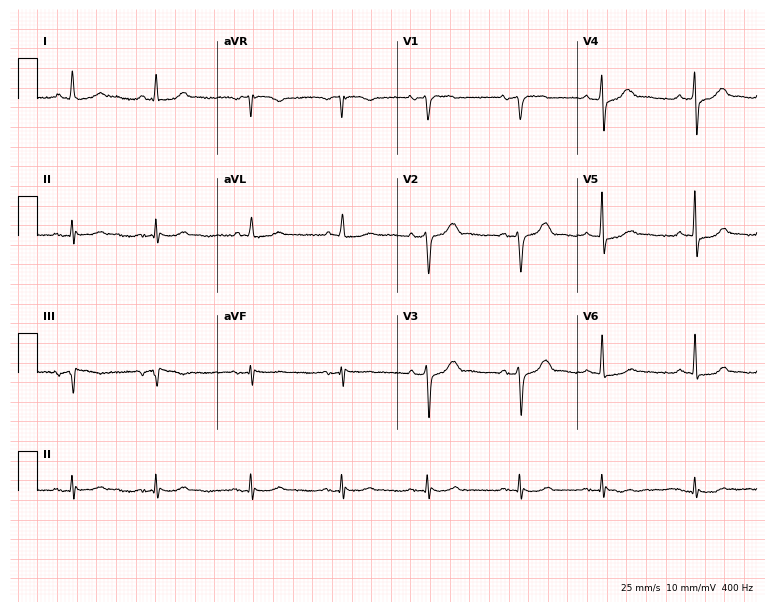
Standard 12-lead ECG recorded from an 80-year-old female patient (7.3-second recording at 400 Hz). None of these six findings is recorded: first-degree AV block, right bundle branch block (RBBB), left bundle branch block (LBBB), sinus bradycardia, atrial fibrillation (AF), sinus tachycardia. Findings outside these six are not listed.